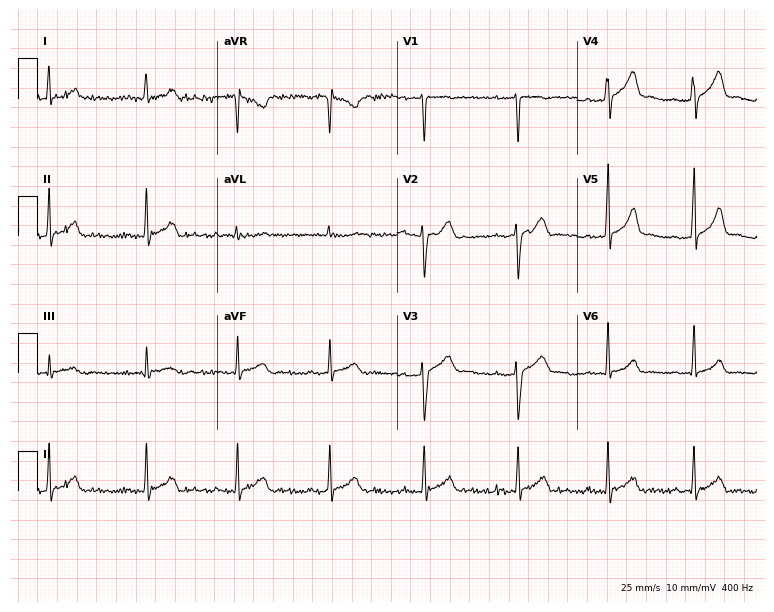
Electrocardiogram, a male patient, 22 years old. Overall reading on record: normal ECG.